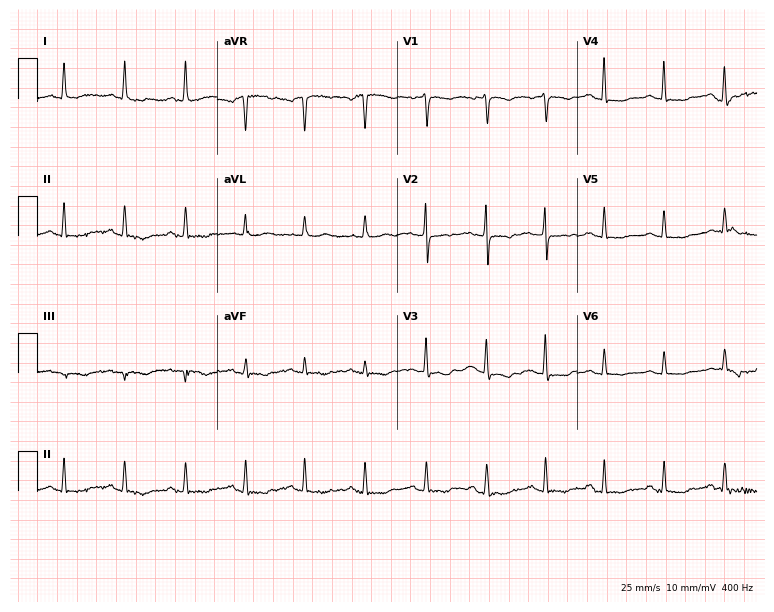
12-lead ECG from a female, 52 years old (7.3-second recording at 400 Hz). No first-degree AV block, right bundle branch block, left bundle branch block, sinus bradycardia, atrial fibrillation or sinus tachycardia recorded for this tracing. Other findings, if any, are not listed.